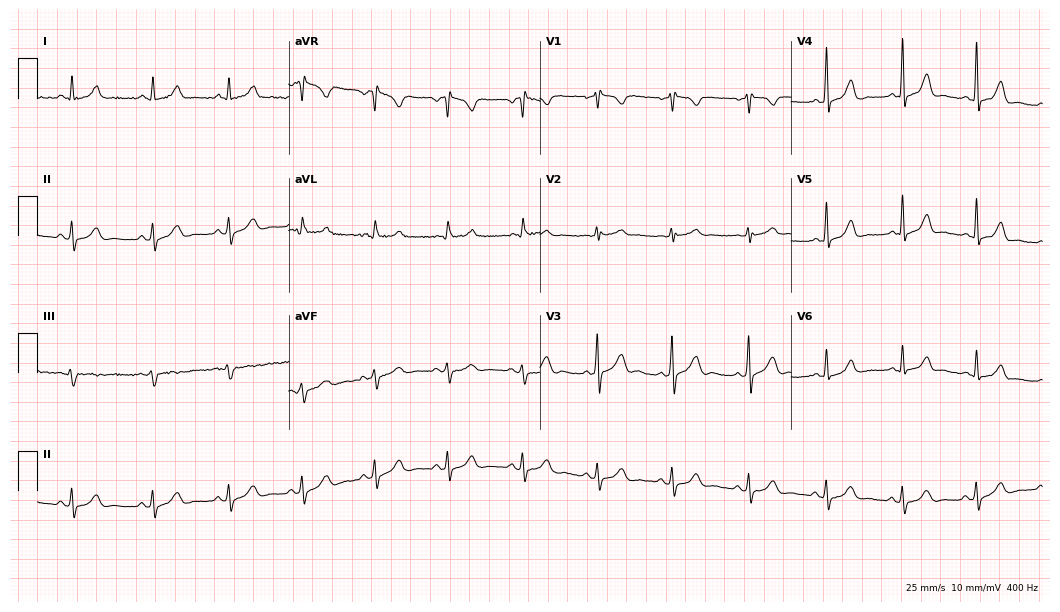
Standard 12-lead ECG recorded from a 32-year-old female patient. None of these six findings is recorded: first-degree AV block, right bundle branch block, left bundle branch block, sinus bradycardia, atrial fibrillation, sinus tachycardia. Other findings, if any, are not listed.